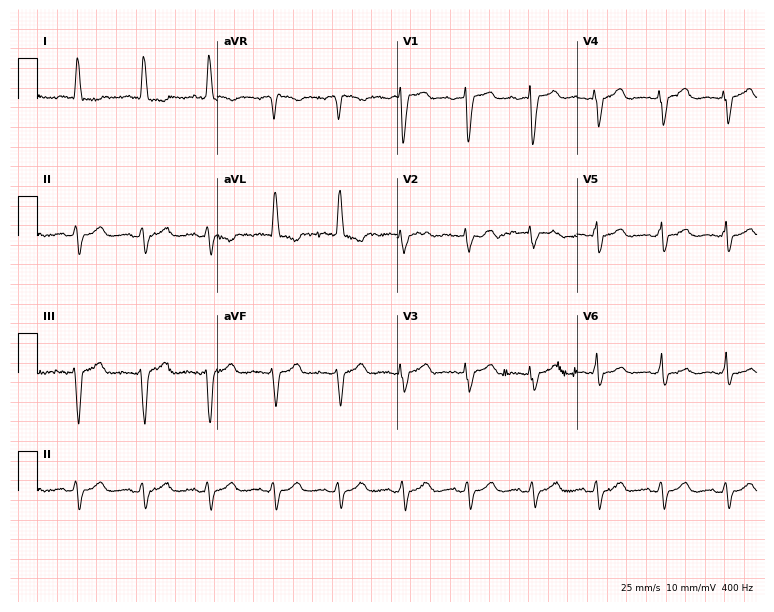
Resting 12-lead electrocardiogram. Patient: a female, 80 years old. None of these six findings is recorded: first-degree AV block, right bundle branch block, left bundle branch block, sinus bradycardia, atrial fibrillation, sinus tachycardia.